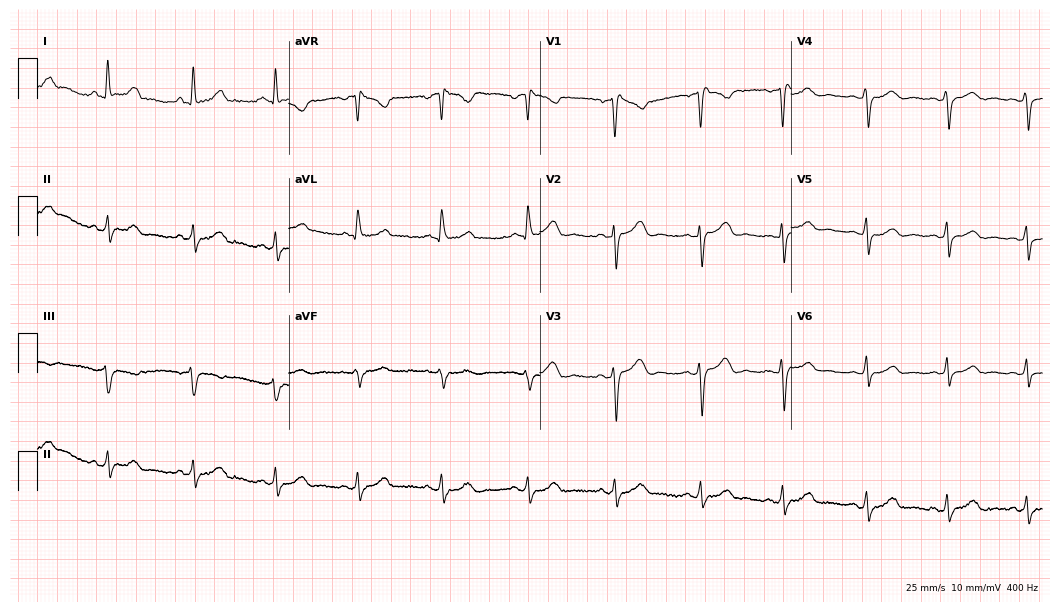
Electrocardiogram (10.2-second recording at 400 Hz), a woman, 51 years old. Of the six screened findings (first-degree AV block, right bundle branch block (RBBB), left bundle branch block (LBBB), sinus bradycardia, atrial fibrillation (AF), sinus tachycardia), none is recorded. Other findings, if any, are not listed.